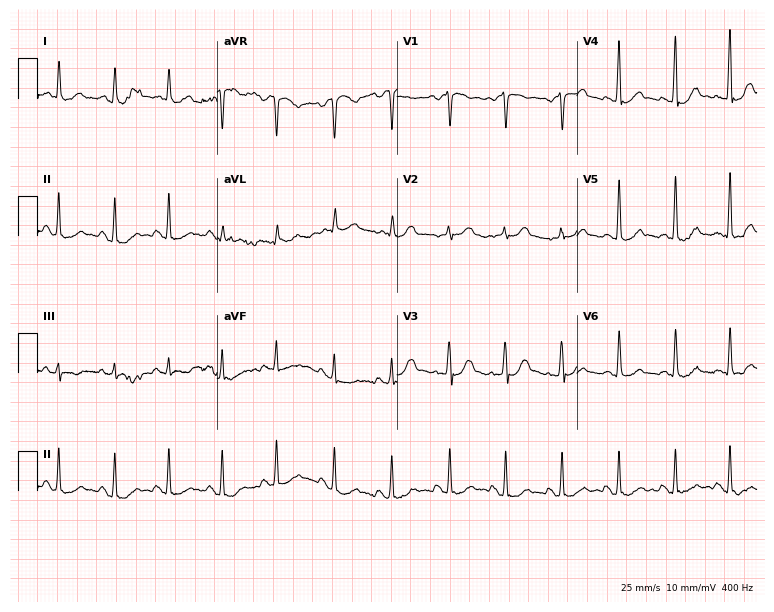
ECG — a 48-year-old man. Findings include sinus tachycardia (a sinus rate of 100 beats per minute or more).